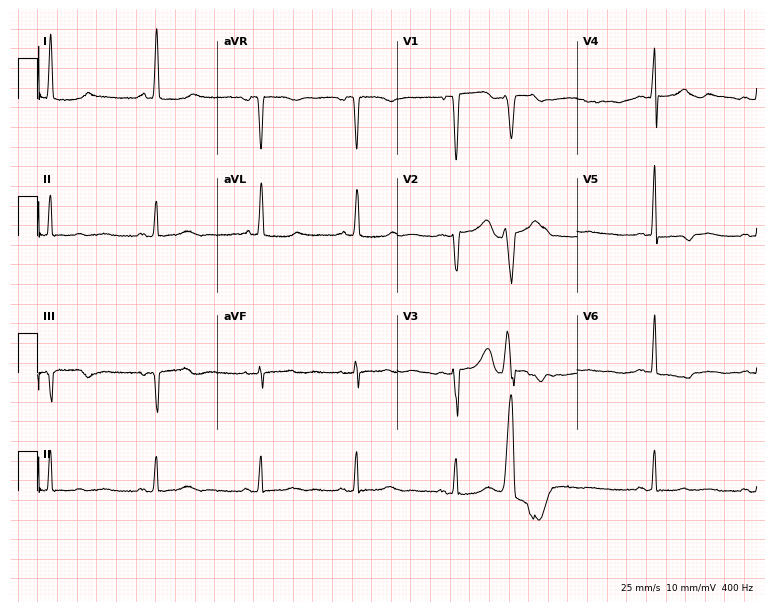
ECG (7.3-second recording at 400 Hz) — a woman, 62 years old. Screened for six findings — first-degree AV block, right bundle branch block, left bundle branch block, sinus bradycardia, atrial fibrillation, sinus tachycardia — none is recorded. Other findings, if any, are not listed.